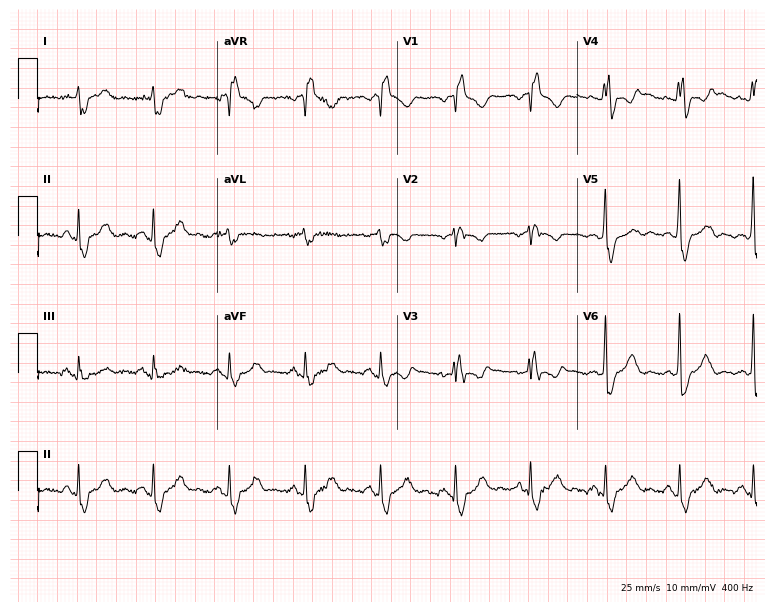
Standard 12-lead ECG recorded from a 46-year-old man (7.3-second recording at 400 Hz). The tracing shows right bundle branch block (RBBB).